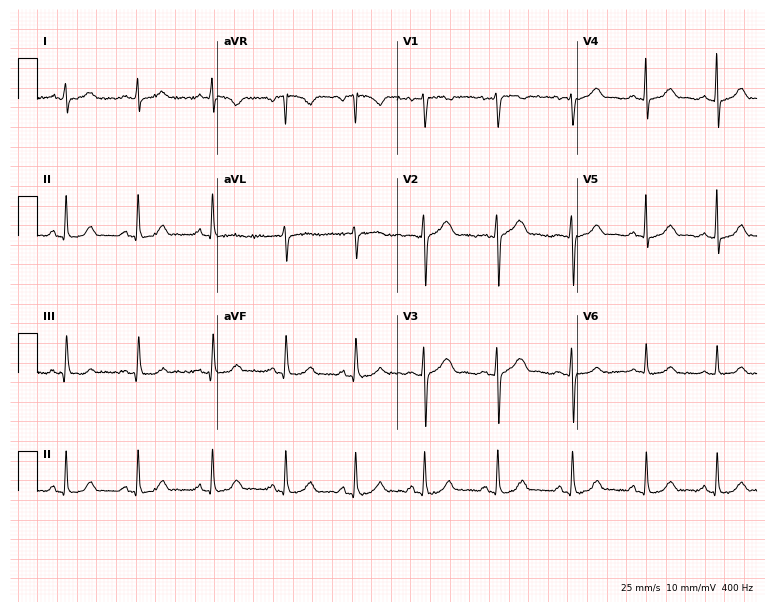
12-lead ECG (7.3-second recording at 400 Hz) from a female, 39 years old. Labelled as a normal ECG.